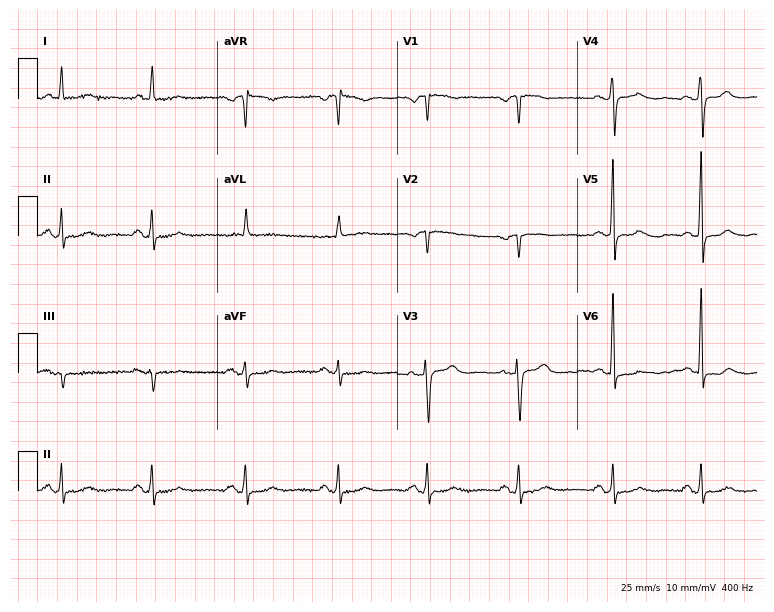
Electrocardiogram, a female, 70 years old. Of the six screened findings (first-degree AV block, right bundle branch block, left bundle branch block, sinus bradycardia, atrial fibrillation, sinus tachycardia), none is recorded.